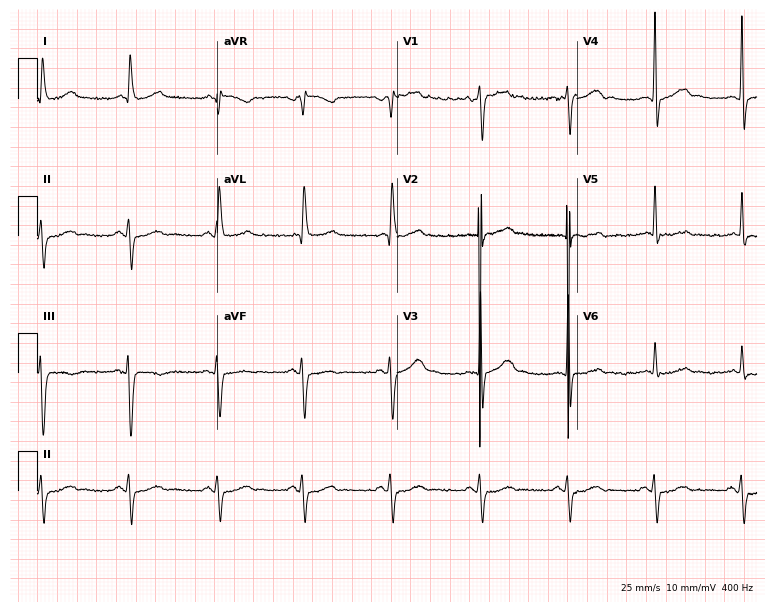
12-lead ECG from a man, 73 years old. Screened for six findings — first-degree AV block, right bundle branch block (RBBB), left bundle branch block (LBBB), sinus bradycardia, atrial fibrillation (AF), sinus tachycardia — none is recorded.